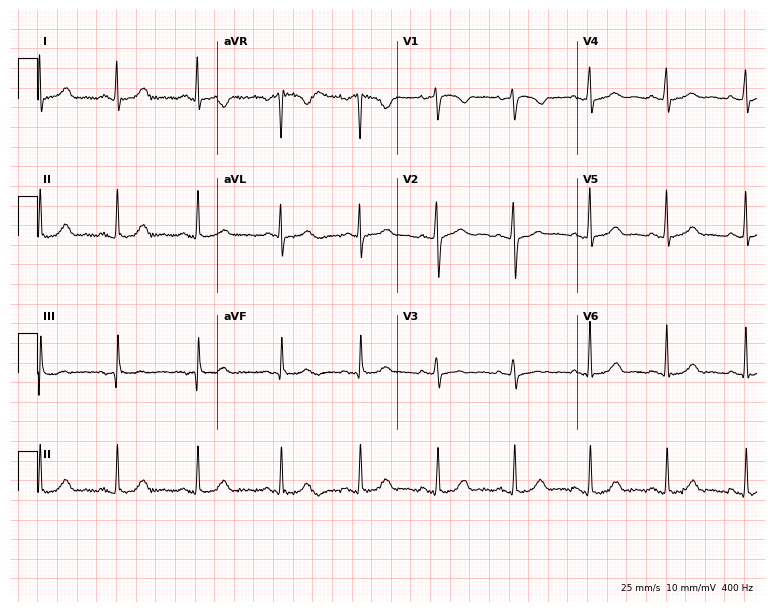
Standard 12-lead ECG recorded from a female patient, 42 years old (7.3-second recording at 400 Hz). Read as a normal ECG.